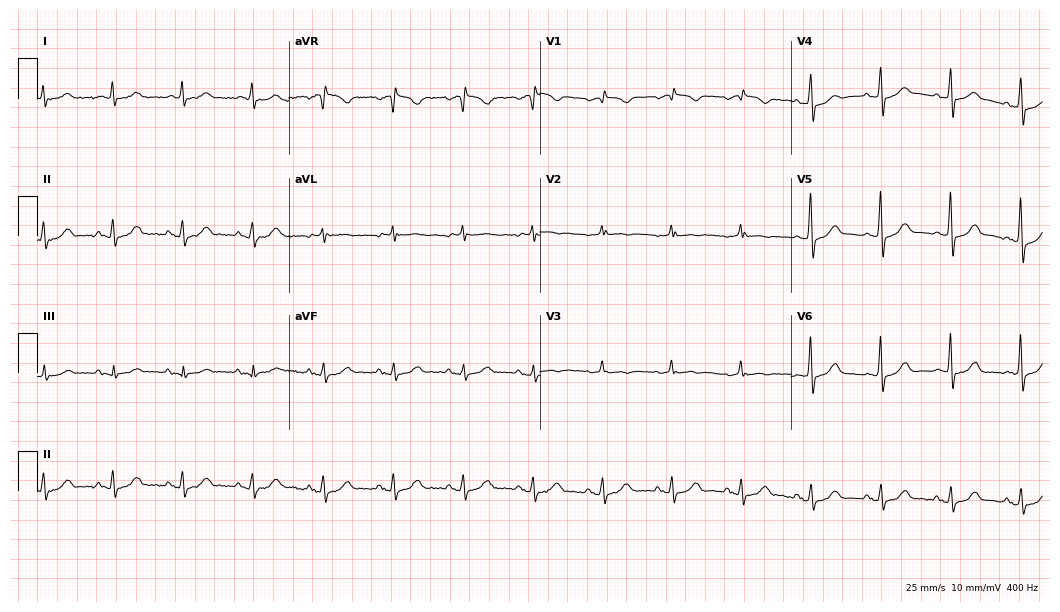
Standard 12-lead ECG recorded from a male patient, 75 years old (10.2-second recording at 400 Hz). None of these six findings is recorded: first-degree AV block, right bundle branch block, left bundle branch block, sinus bradycardia, atrial fibrillation, sinus tachycardia. Findings outside these six are not listed.